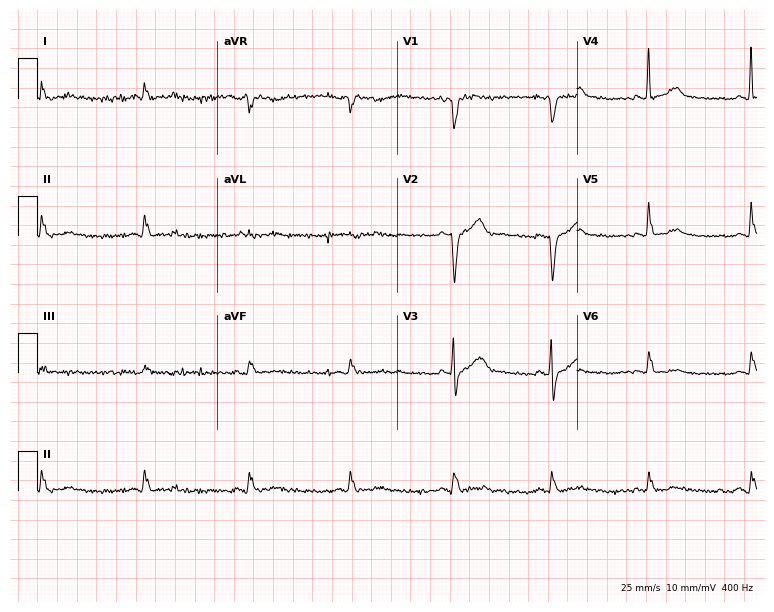
Electrocardiogram (7.3-second recording at 400 Hz), a 44-year-old male patient. Of the six screened findings (first-degree AV block, right bundle branch block (RBBB), left bundle branch block (LBBB), sinus bradycardia, atrial fibrillation (AF), sinus tachycardia), none is recorded. Other findings, if any, are not listed.